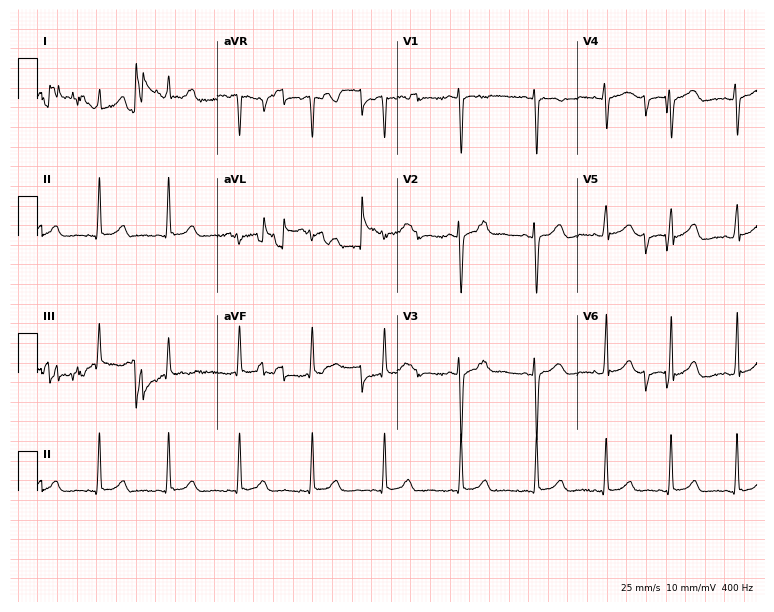
Electrocardiogram (7.3-second recording at 400 Hz), a female, 23 years old. Of the six screened findings (first-degree AV block, right bundle branch block (RBBB), left bundle branch block (LBBB), sinus bradycardia, atrial fibrillation (AF), sinus tachycardia), none is recorded.